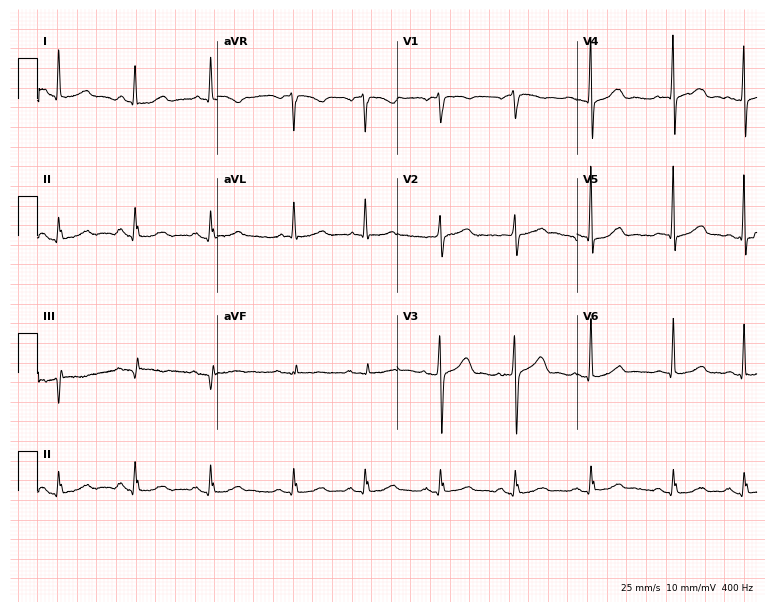
Electrocardiogram, a female patient, 65 years old. Of the six screened findings (first-degree AV block, right bundle branch block, left bundle branch block, sinus bradycardia, atrial fibrillation, sinus tachycardia), none is recorded. Other findings, if any, are not listed.